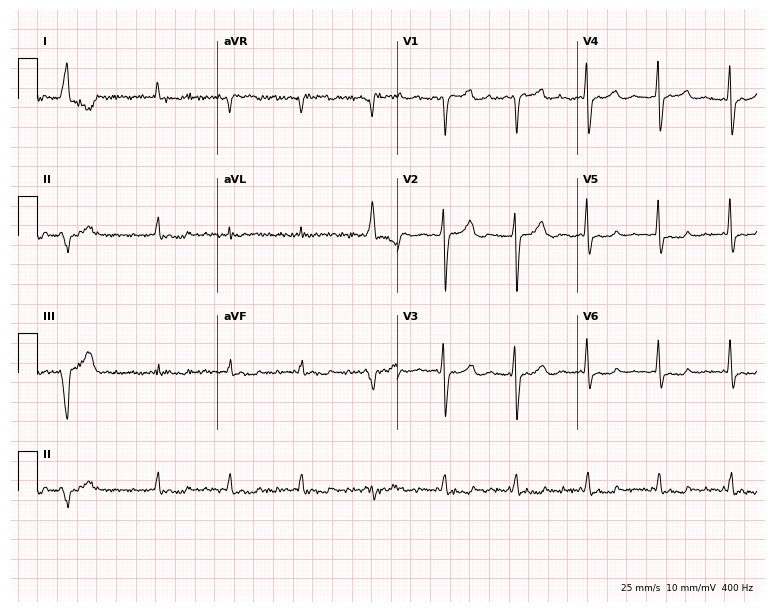
ECG (7.3-second recording at 400 Hz) — a 76-year-old male patient. Screened for six findings — first-degree AV block, right bundle branch block (RBBB), left bundle branch block (LBBB), sinus bradycardia, atrial fibrillation (AF), sinus tachycardia — none is recorded.